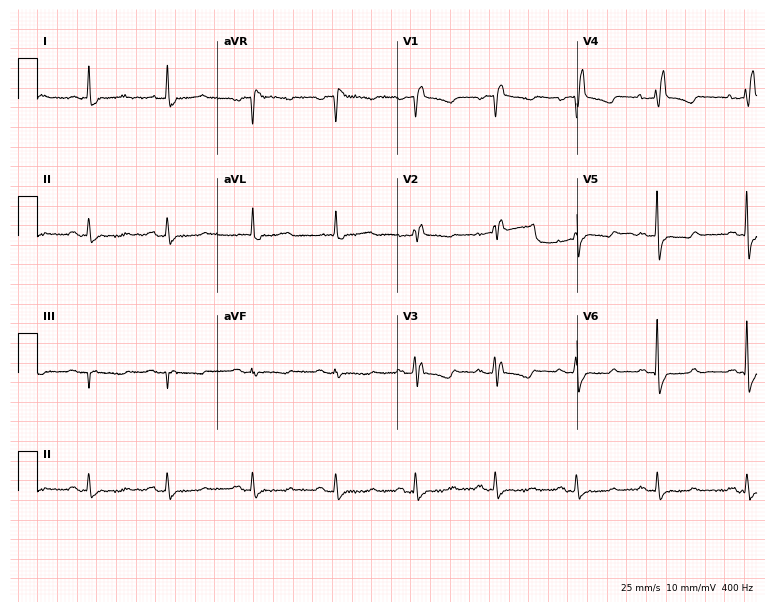
12-lead ECG (7.3-second recording at 400 Hz) from a woman, 66 years old. Findings include right bundle branch block (RBBB).